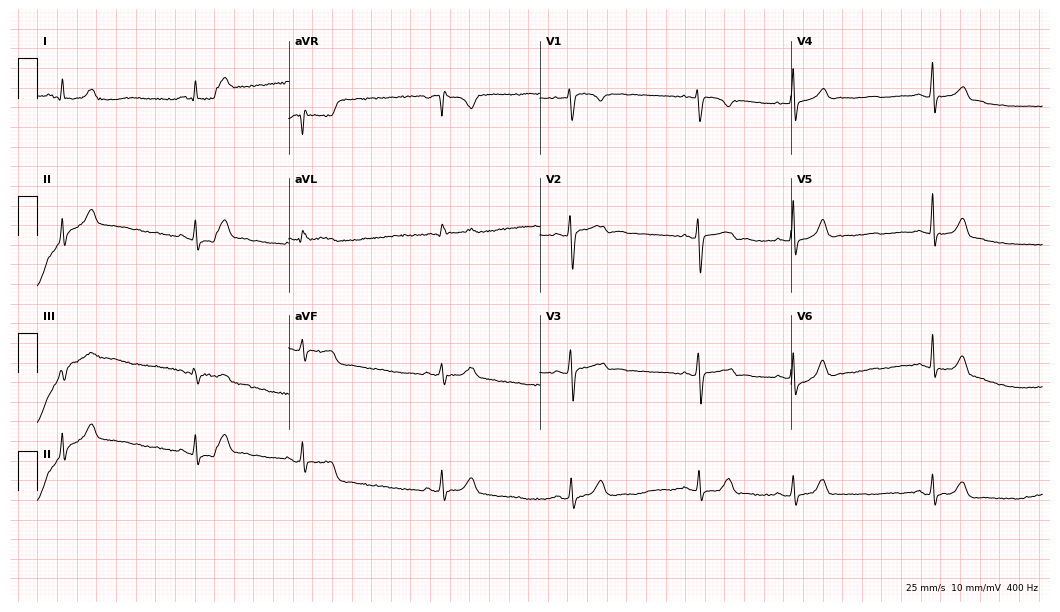
12-lead ECG from a 19-year-old female patient (10.2-second recording at 400 Hz). No first-degree AV block, right bundle branch block (RBBB), left bundle branch block (LBBB), sinus bradycardia, atrial fibrillation (AF) or sinus tachycardia recorded for this tracing.